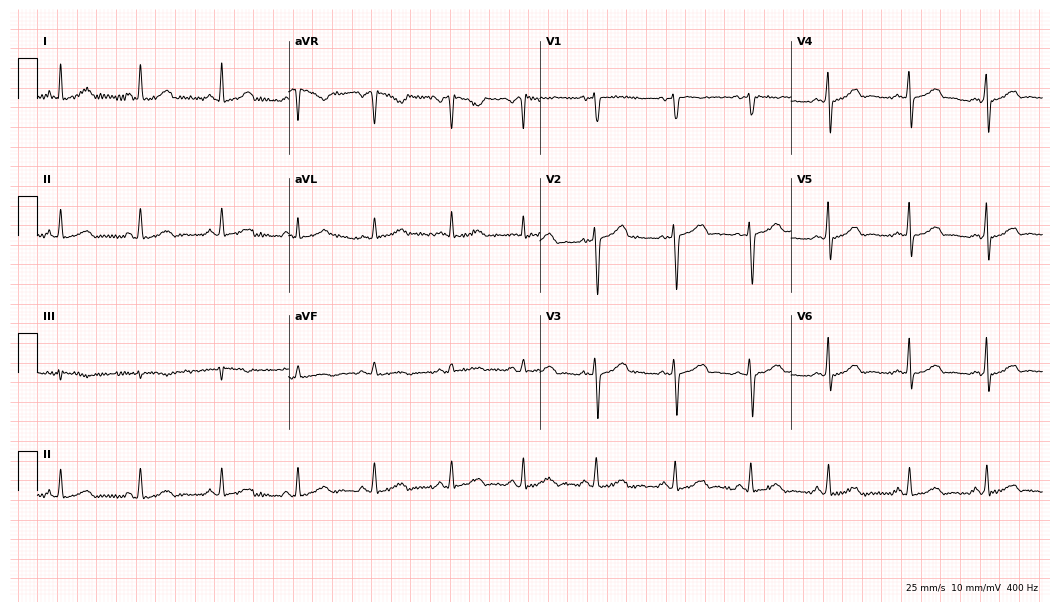
12-lead ECG (10.2-second recording at 400 Hz) from a 53-year-old woman. Labelled as a normal ECG.